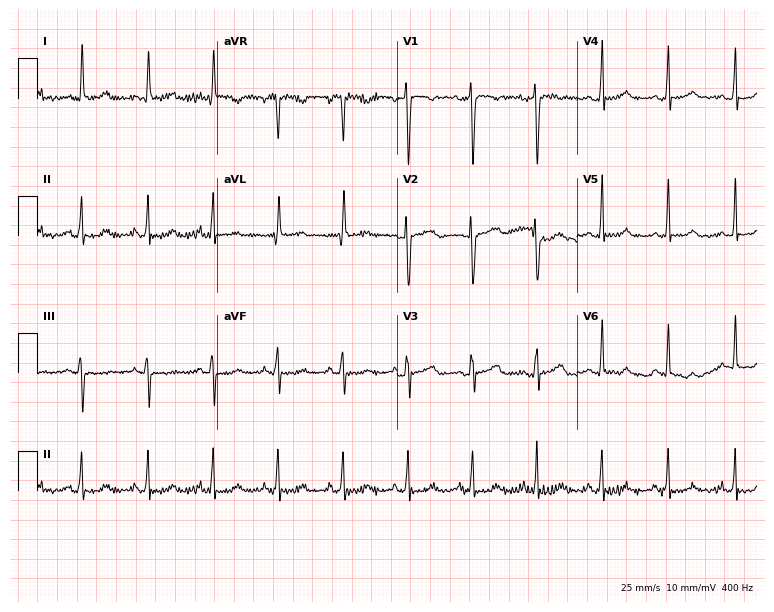
12-lead ECG from a female patient, 43 years old. No first-degree AV block, right bundle branch block, left bundle branch block, sinus bradycardia, atrial fibrillation or sinus tachycardia recorded for this tracing.